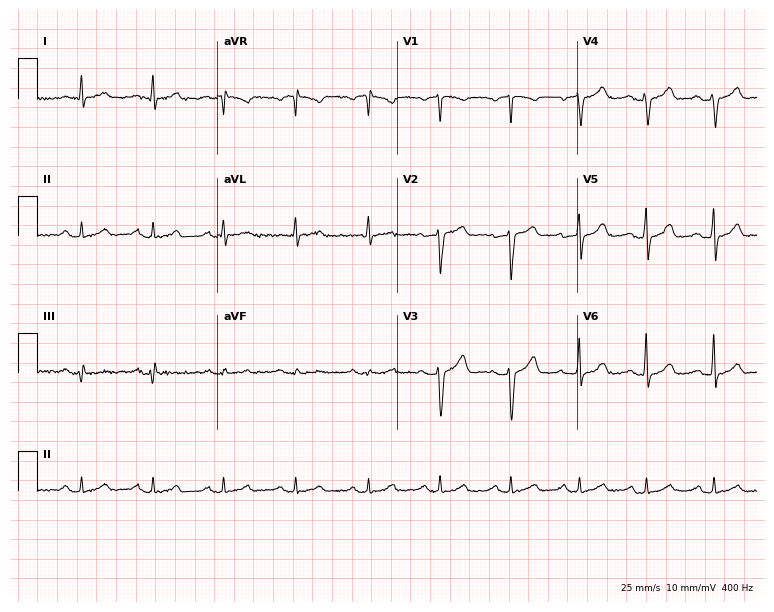
Electrocardiogram (7.3-second recording at 400 Hz), a 52-year-old male patient. Overall reading on record: normal ECG.